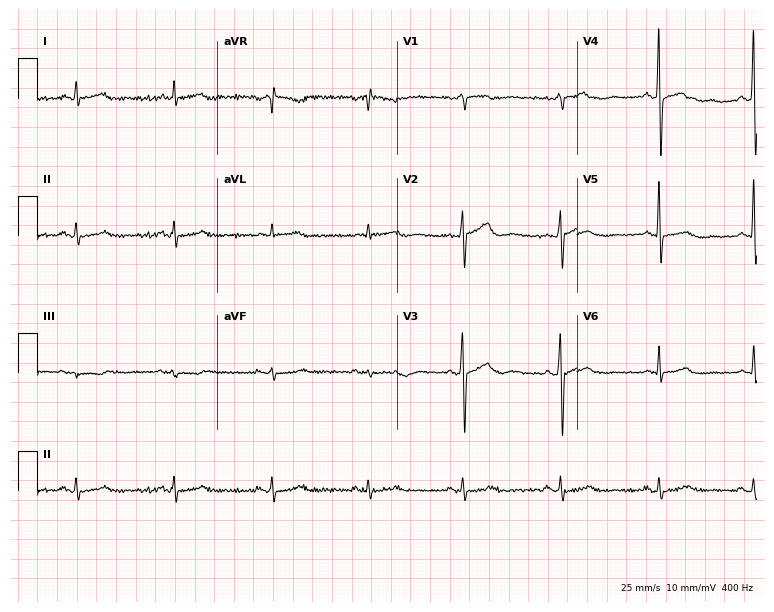
12-lead ECG from a male, 63 years old. Screened for six findings — first-degree AV block, right bundle branch block, left bundle branch block, sinus bradycardia, atrial fibrillation, sinus tachycardia — none is recorded.